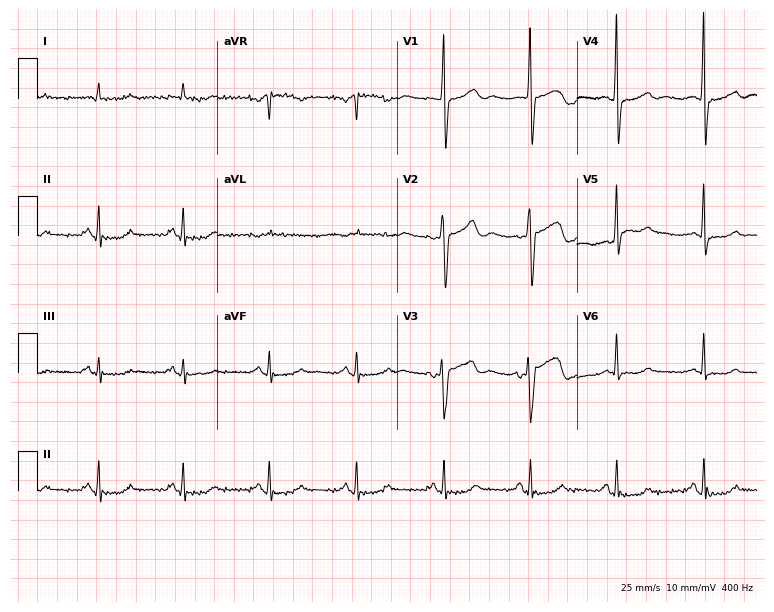
Standard 12-lead ECG recorded from a man, 74 years old. None of these six findings is recorded: first-degree AV block, right bundle branch block (RBBB), left bundle branch block (LBBB), sinus bradycardia, atrial fibrillation (AF), sinus tachycardia.